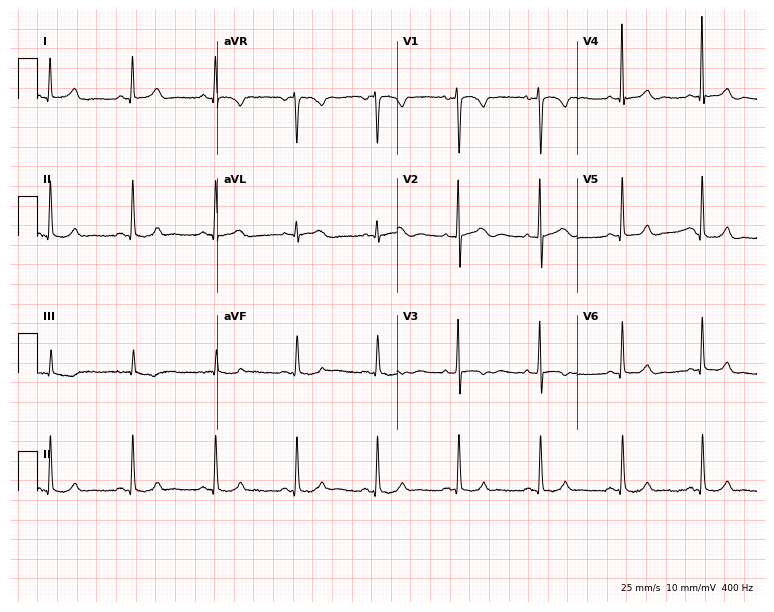
Resting 12-lead electrocardiogram. Patient: a 58-year-old female. Read as a normal ECG.